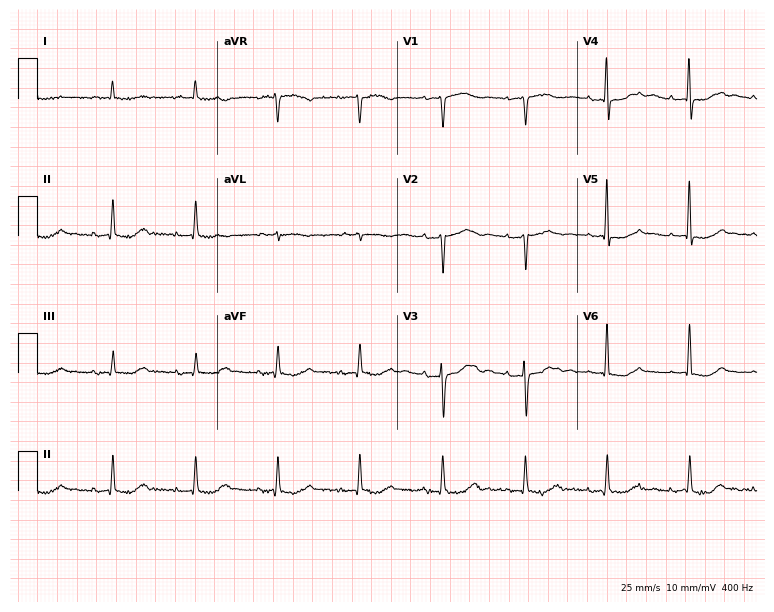
12-lead ECG from a 74-year-old female patient. Screened for six findings — first-degree AV block, right bundle branch block, left bundle branch block, sinus bradycardia, atrial fibrillation, sinus tachycardia — none is recorded.